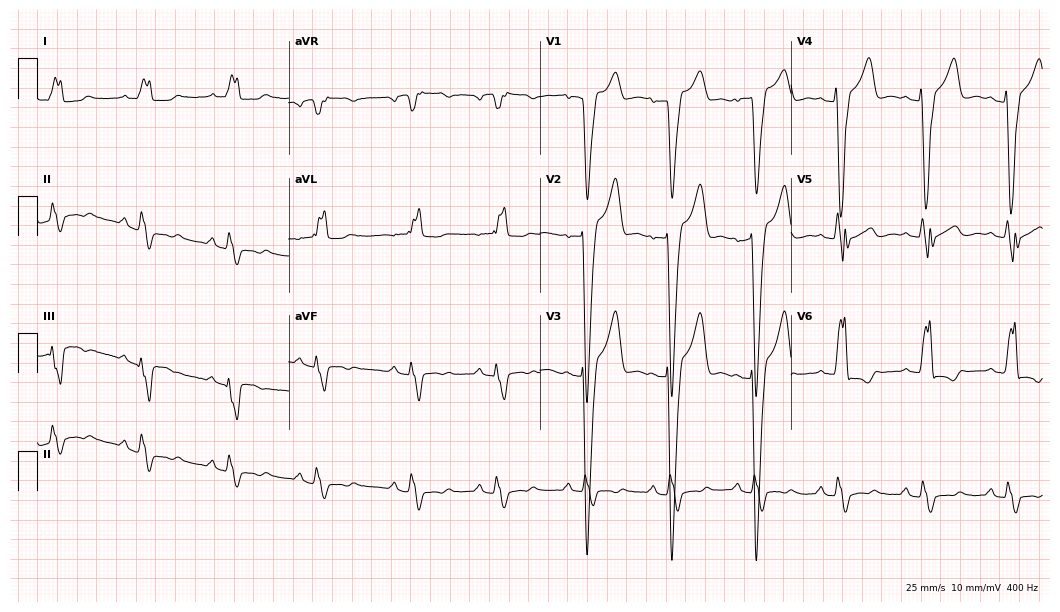
12-lead ECG (10.2-second recording at 400 Hz) from a female, 60 years old. Findings include left bundle branch block.